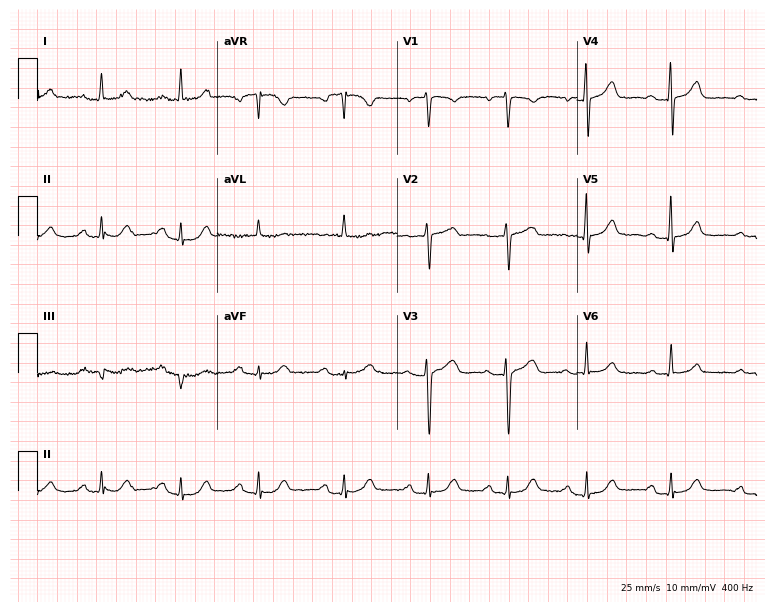
Electrocardiogram (7.3-second recording at 400 Hz), a woman, 68 years old. Overall reading on record: normal ECG.